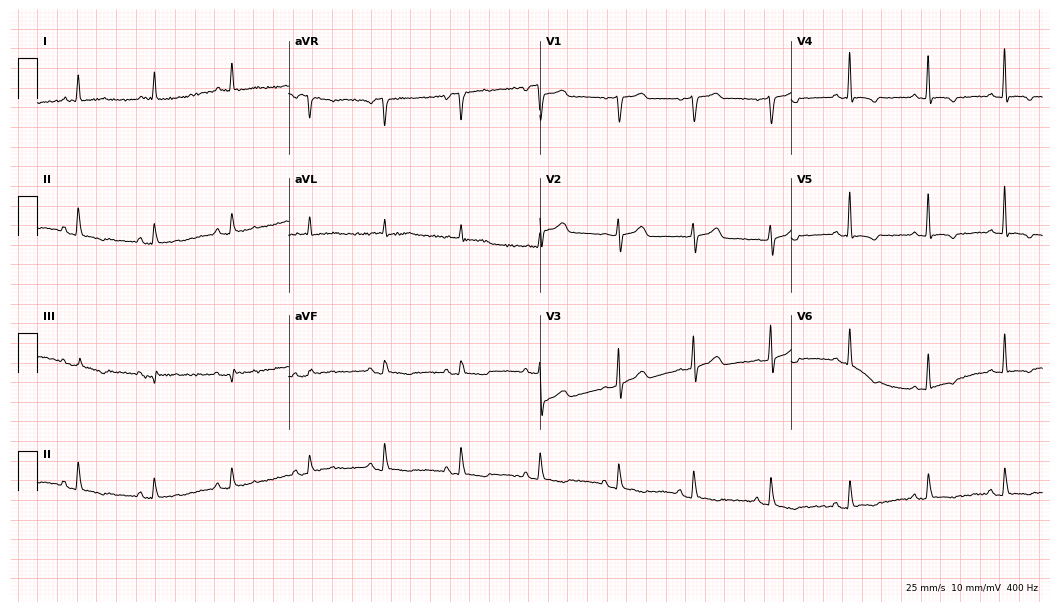
12-lead ECG (10.2-second recording at 400 Hz) from a female patient, 67 years old. Screened for six findings — first-degree AV block, right bundle branch block, left bundle branch block, sinus bradycardia, atrial fibrillation, sinus tachycardia — none is recorded. Findings outside these six are not listed.